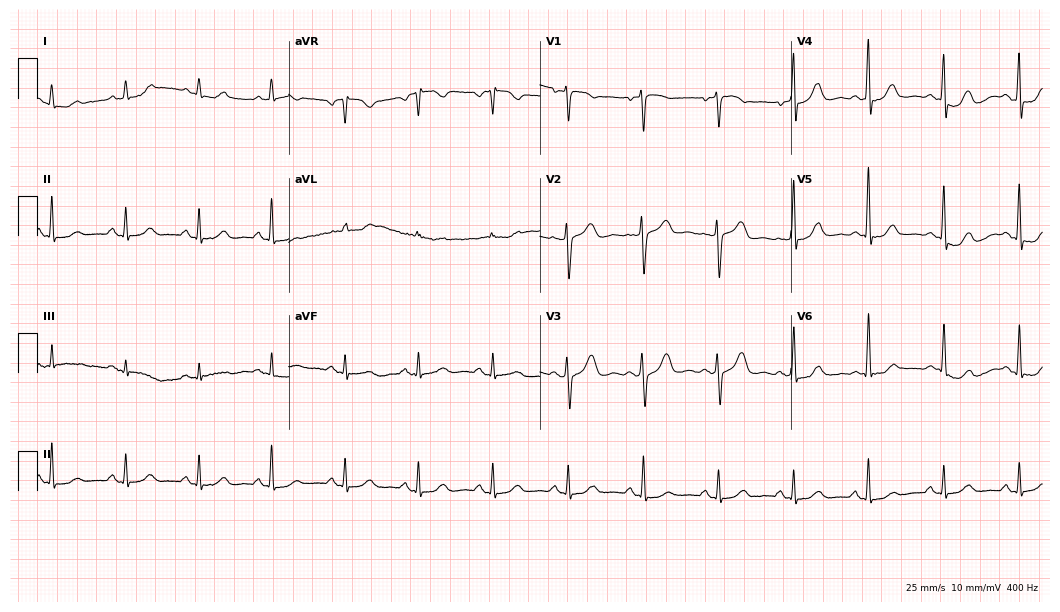
Electrocardiogram, a female, 44 years old. Of the six screened findings (first-degree AV block, right bundle branch block (RBBB), left bundle branch block (LBBB), sinus bradycardia, atrial fibrillation (AF), sinus tachycardia), none is recorded.